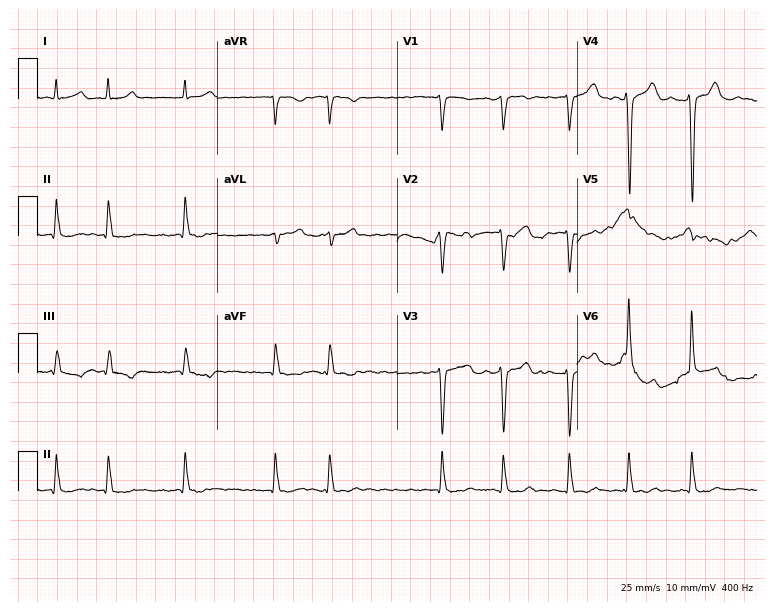
12-lead ECG from a man, 68 years old. Shows atrial fibrillation (AF).